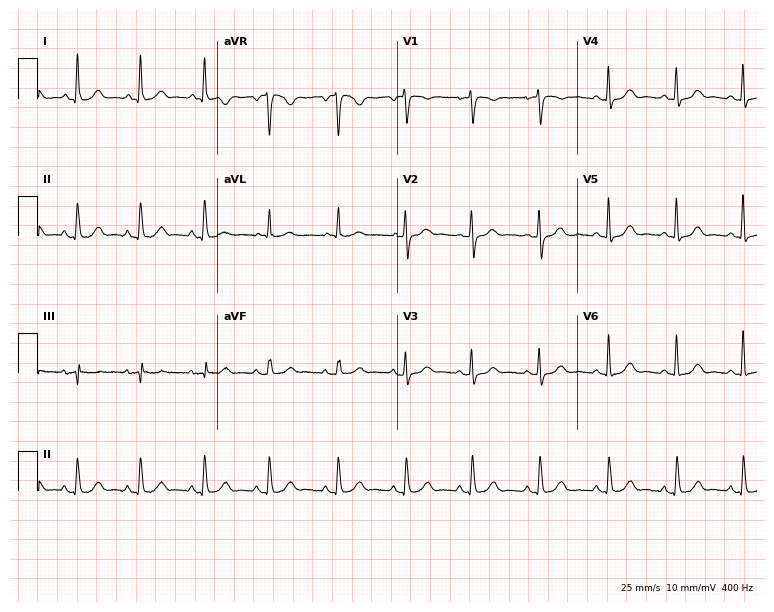
Resting 12-lead electrocardiogram. Patient: a 57-year-old female. Read as a normal ECG.